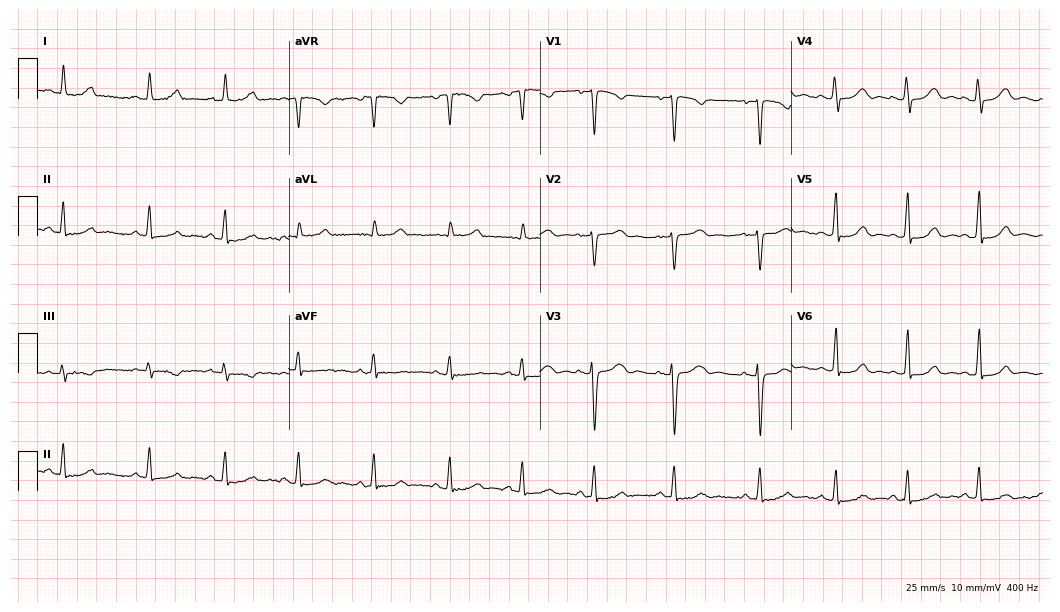
Standard 12-lead ECG recorded from a 31-year-old female (10.2-second recording at 400 Hz). Read as a normal ECG.